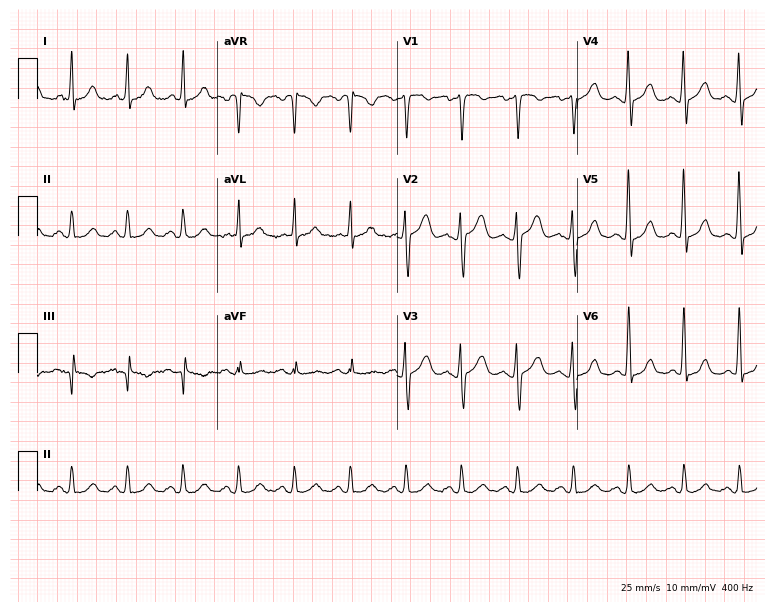
12-lead ECG (7.3-second recording at 400 Hz) from a 69-year-old male patient. Findings include sinus tachycardia (a sinus rate of 100 beats per minute or more).